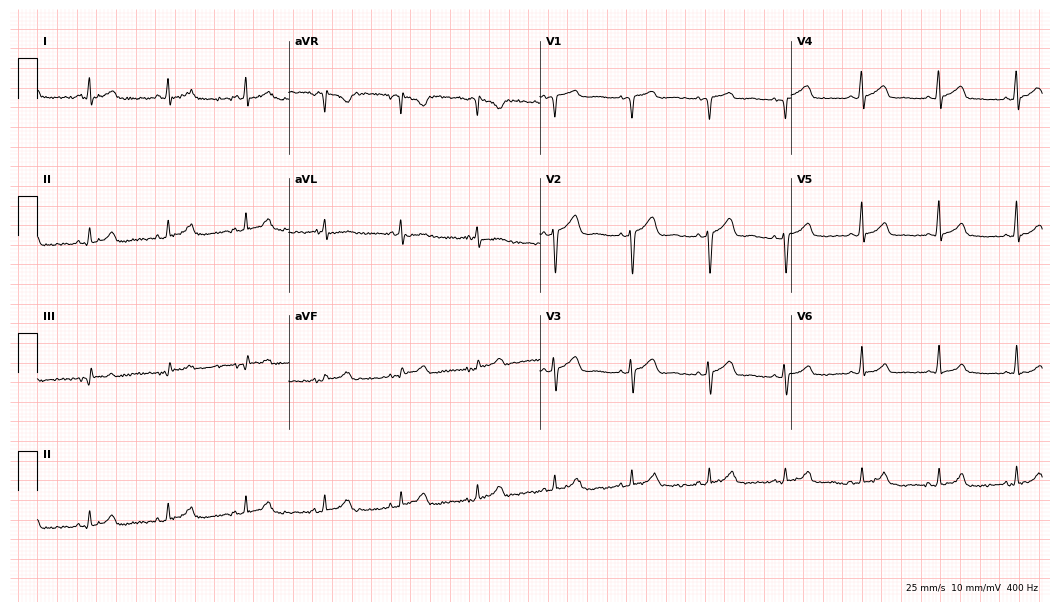
ECG (10.2-second recording at 400 Hz) — a 68-year-old female. Labelled as a normal ECG.